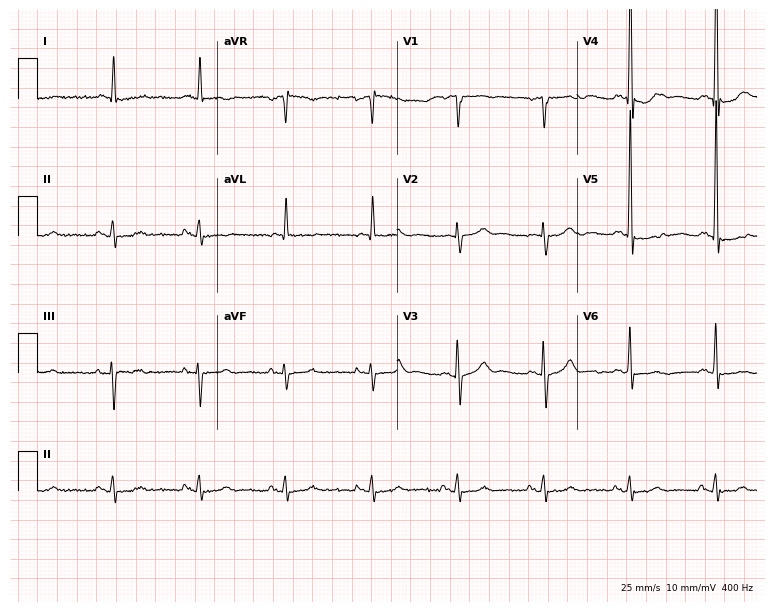
Standard 12-lead ECG recorded from an 80-year-old male patient. Read as a normal ECG.